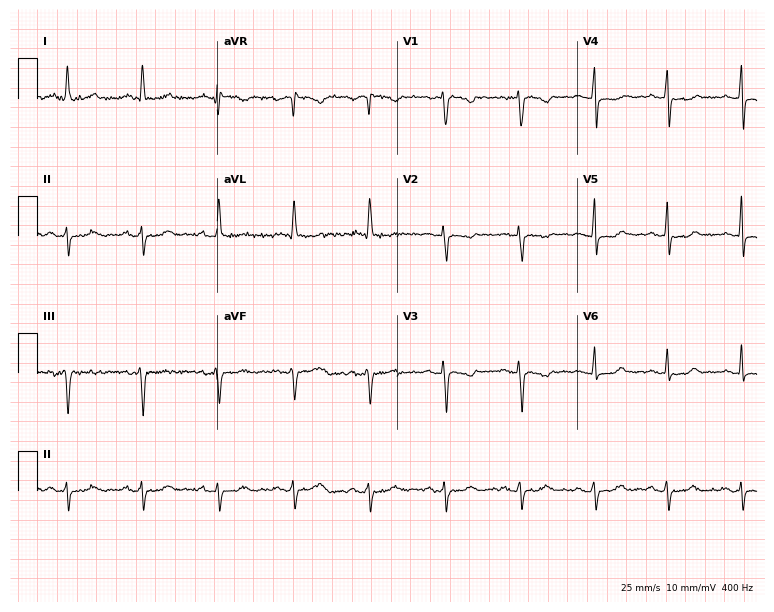
Standard 12-lead ECG recorded from a female patient, 58 years old. None of these six findings is recorded: first-degree AV block, right bundle branch block, left bundle branch block, sinus bradycardia, atrial fibrillation, sinus tachycardia.